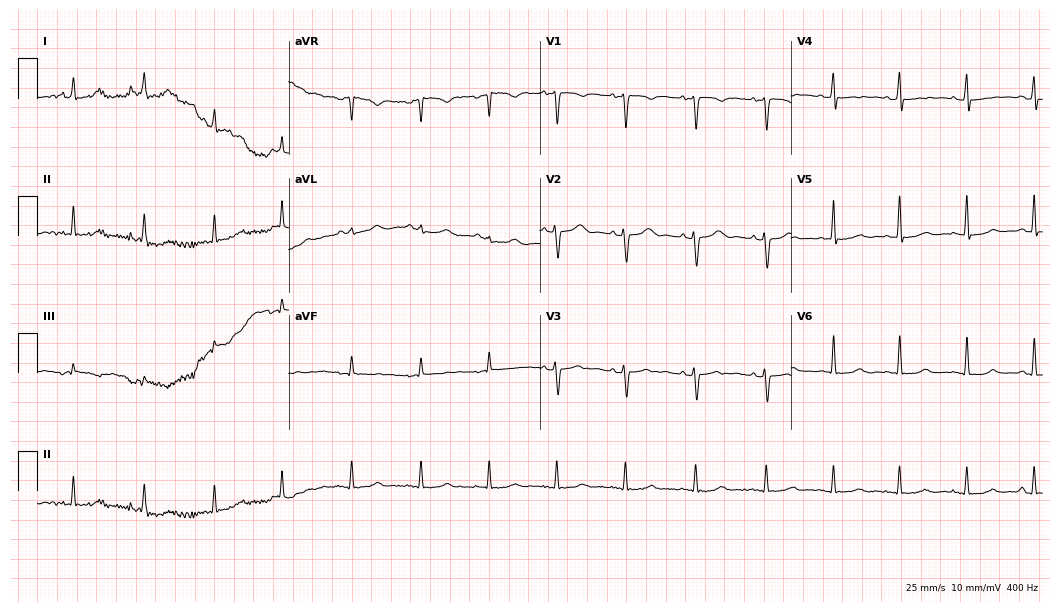
Electrocardiogram, a 25-year-old female. Overall reading on record: normal ECG.